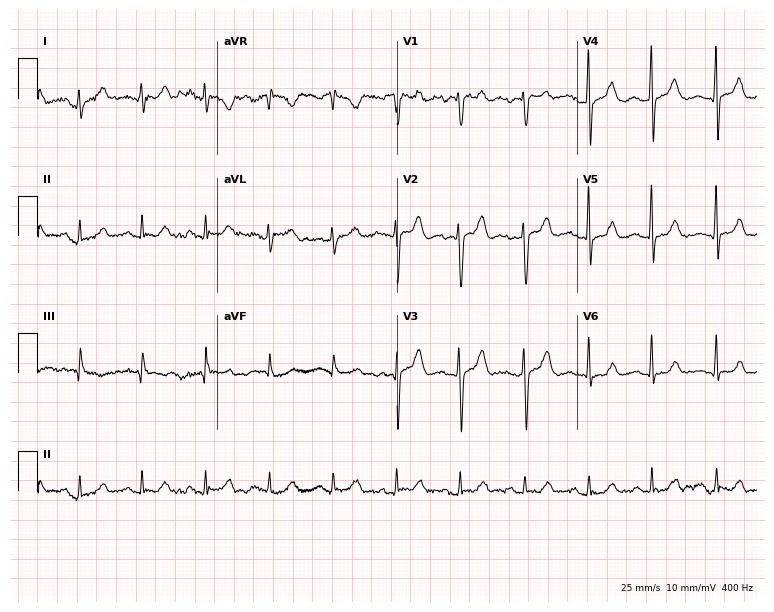
12-lead ECG from a 50-year-old female patient. Screened for six findings — first-degree AV block, right bundle branch block, left bundle branch block, sinus bradycardia, atrial fibrillation, sinus tachycardia — none is recorded. Other findings, if any, are not listed.